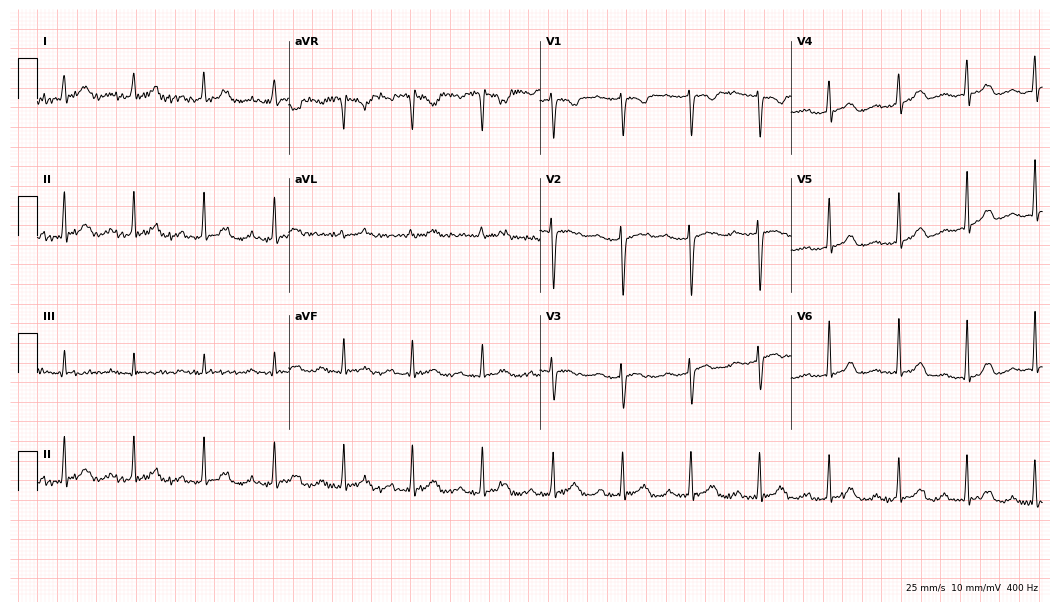
12-lead ECG from a 19-year-old female patient. Screened for six findings — first-degree AV block, right bundle branch block, left bundle branch block, sinus bradycardia, atrial fibrillation, sinus tachycardia — none is recorded. Only these six findings were labelled.